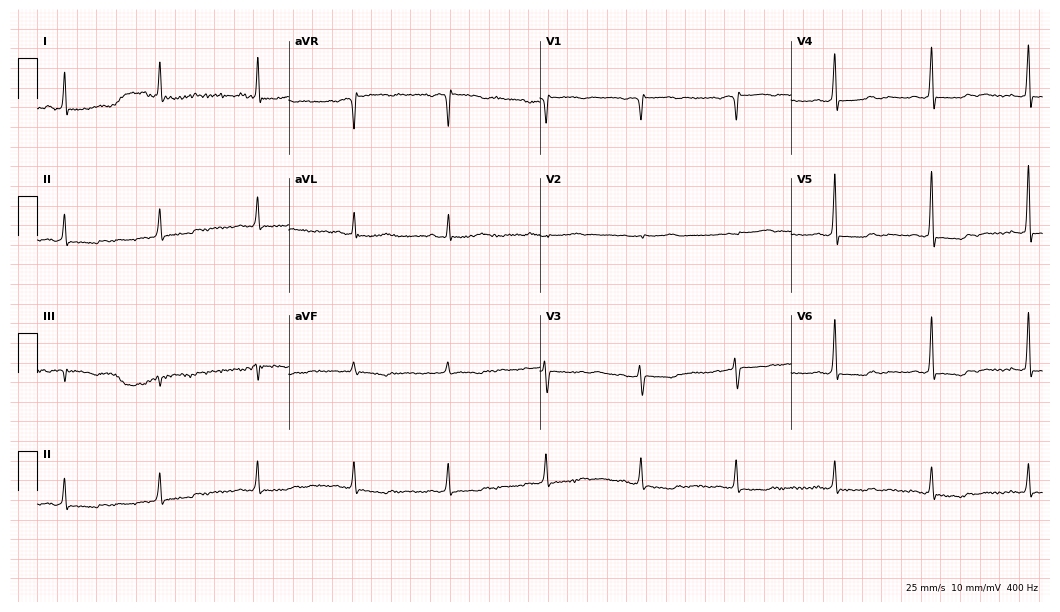
ECG — a 58-year-old woman. Screened for six findings — first-degree AV block, right bundle branch block (RBBB), left bundle branch block (LBBB), sinus bradycardia, atrial fibrillation (AF), sinus tachycardia — none is recorded. Other findings, if any, are not listed.